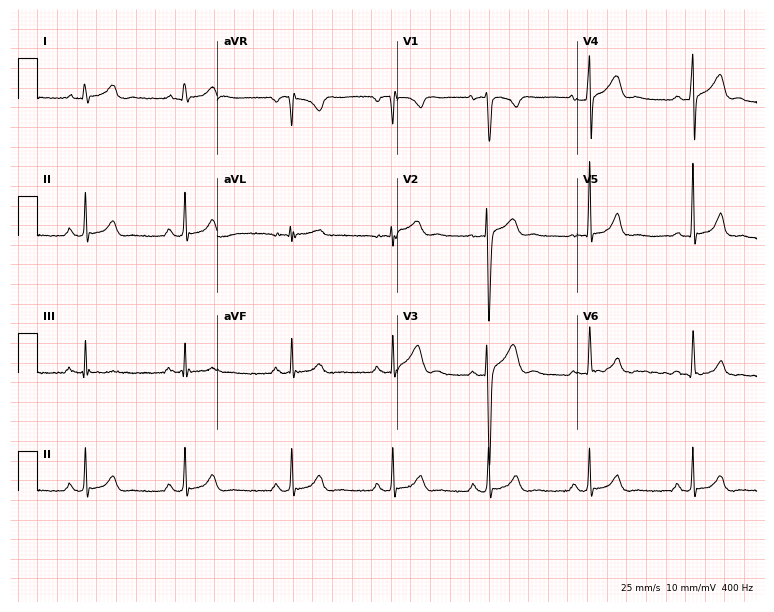
Resting 12-lead electrocardiogram. Patient: a male, 20 years old. None of these six findings is recorded: first-degree AV block, right bundle branch block, left bundle branch block, sinus bradycardia, atrial fibrillation, sinus tachycardia.